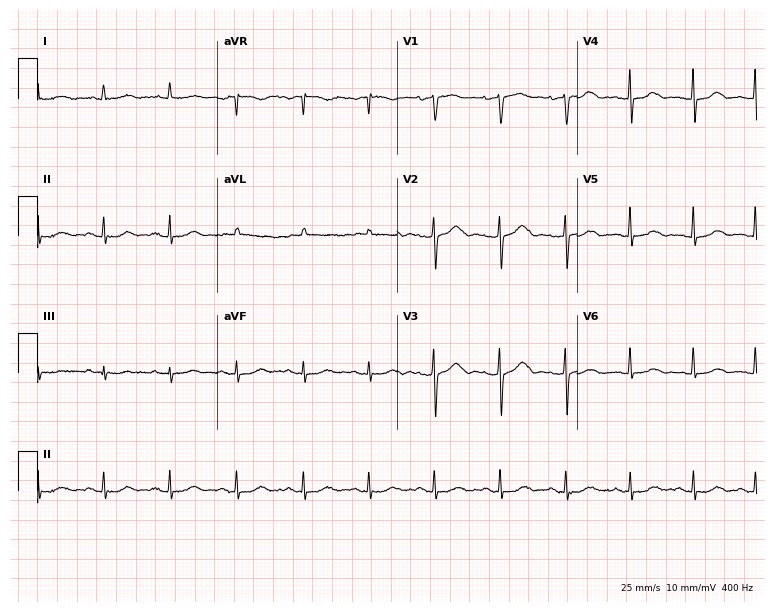
12-lead ECG from a woman, 83 years old. No first-degree AV block, right bundle branch block (RBBB), left bundle branch block (LBBB), sinus bradycardia, atrial fibrillation (AF) or sinus tachycardia recorded for this tracing.